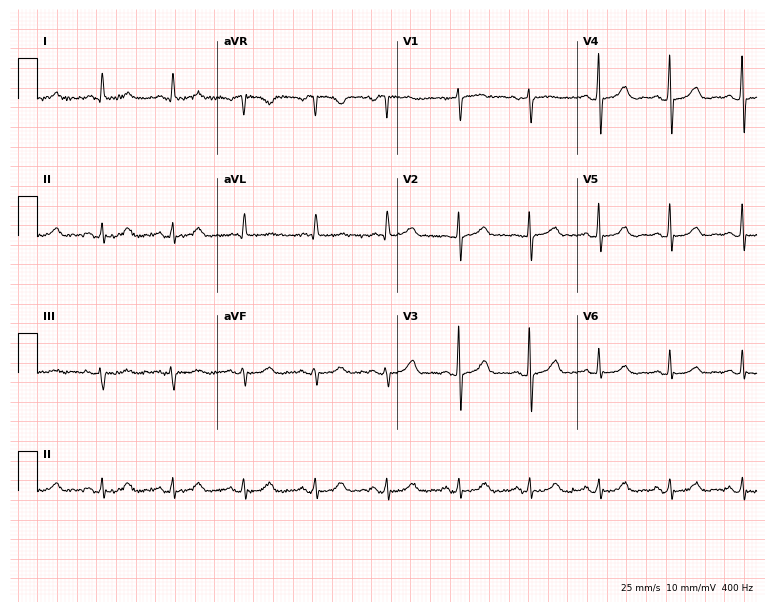
Resting 12-lead electrocardiogram. Patient: a female, 69 years old. Read as a normal ECG.